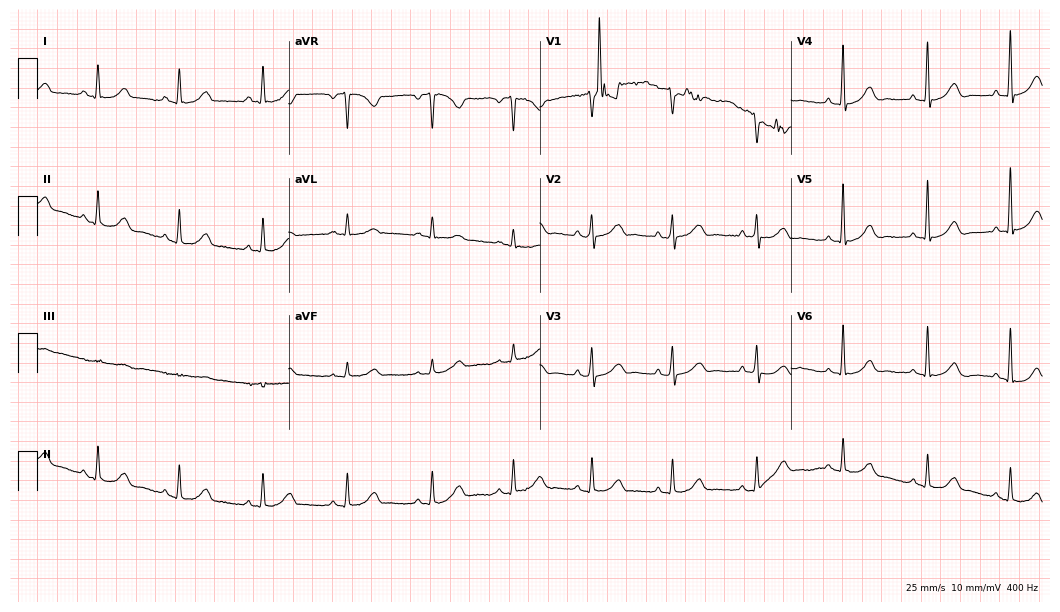
12-lead ECG (10.2-second recording at 400 Hz) from a 67-year-old female. Screened for six findings — first-degree AV block, right bundle branch block, left bundle branch block, sinus bradycardia, atrial fibrillation, sinus tachycardia — none is recorded. Only these six findings were labelled.